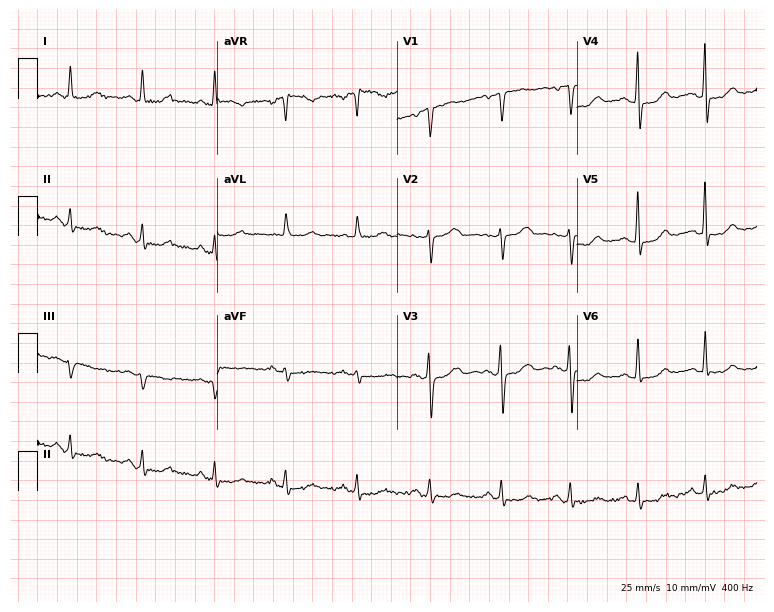
12-lead ECG (7.3-second recording at 400 Hz) from a woman, 63 years old. Screened for six findings — first-degree AV block, right bundle branch block, left bundle branch block, sinus bradycardia, atrial fibrillation, sinus tachycardia — none is recorded. Other findings, if any, are not listed.